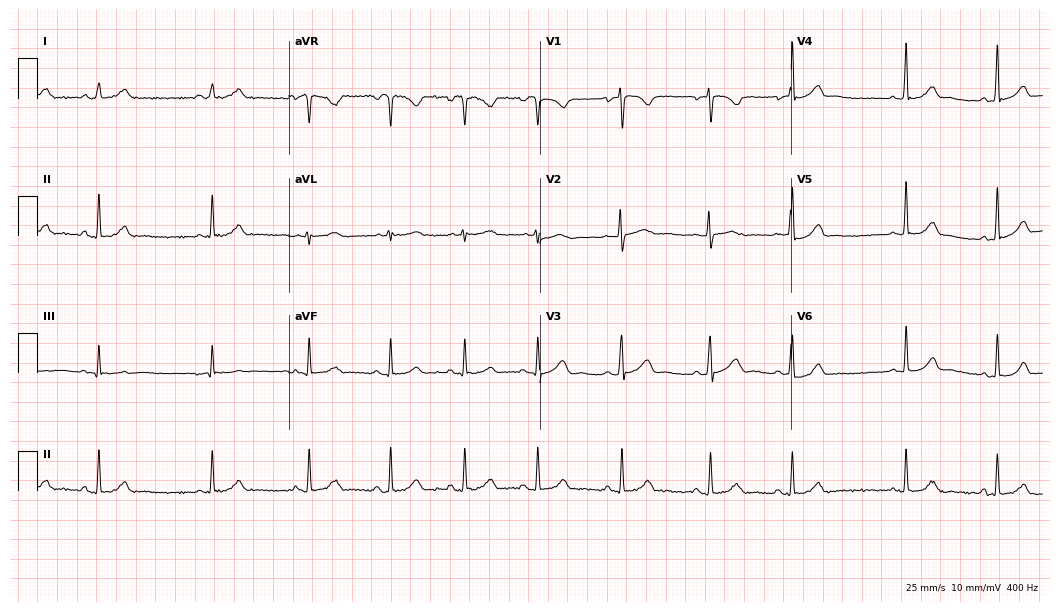
12-lead ECG from a female patient, 21 years old. Labelled as a normal ECG.